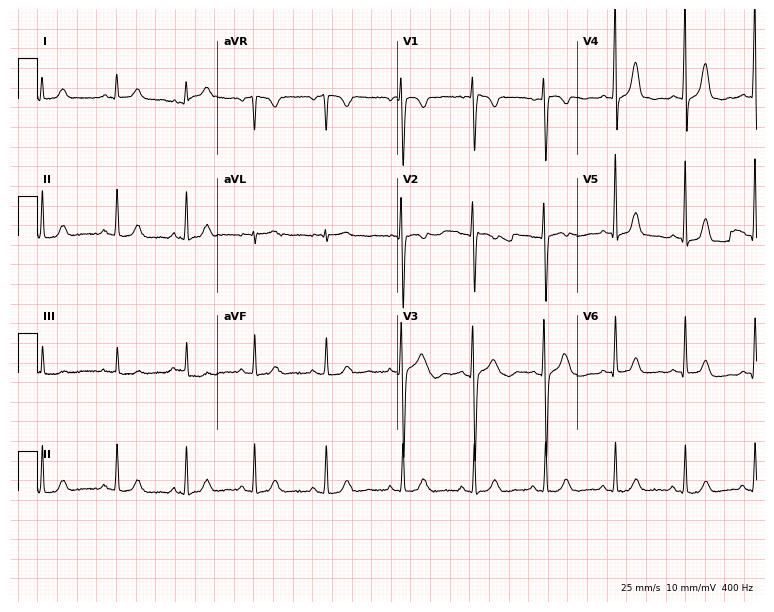
Resting 12-lead electrocardiogram. Patient: a 40-year-old female. None of these six findings is recorded: first-degree AV block, right bundle branch block, left bundle branch block, sinus bradycardia, atrial fibrillation, sinus tachycardia. Other findings, if any, are not listed.